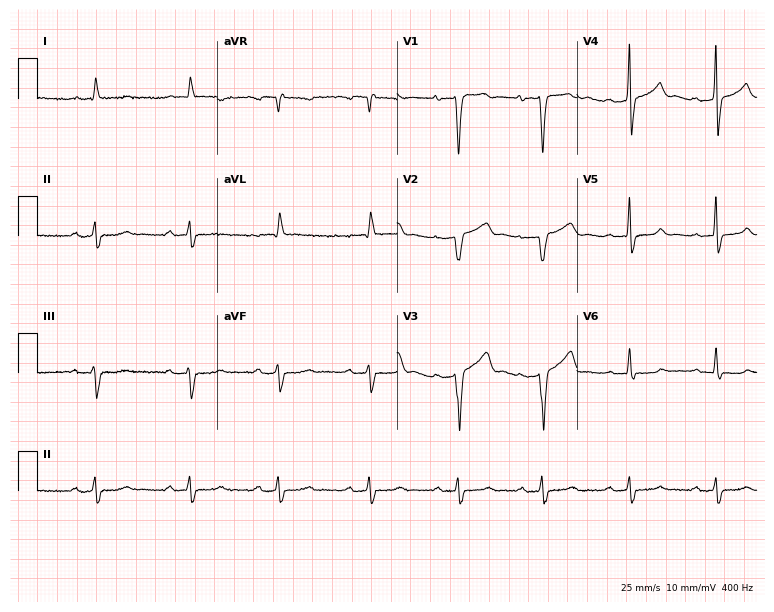
Standard 12-lead ECG recorded from a 75-year-old man. The tracing shows first-degree AV block.